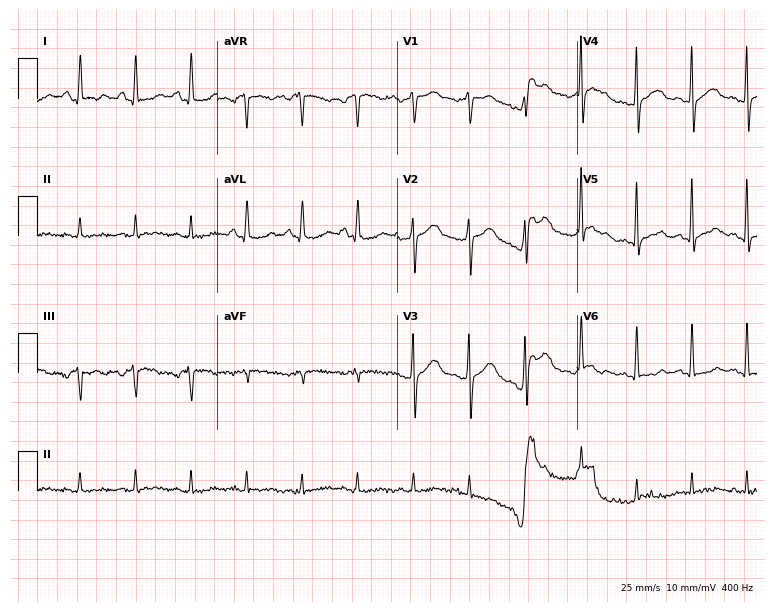
ECG (7.3-second recording at 400 Hz) — a 60-year-old male patient. Screened for six findings — first-degree AV block, right bundle branch block, left bundle branch block, sinus bradycardia, atrial fibrillation, sinus tachycardia — none is recorded.